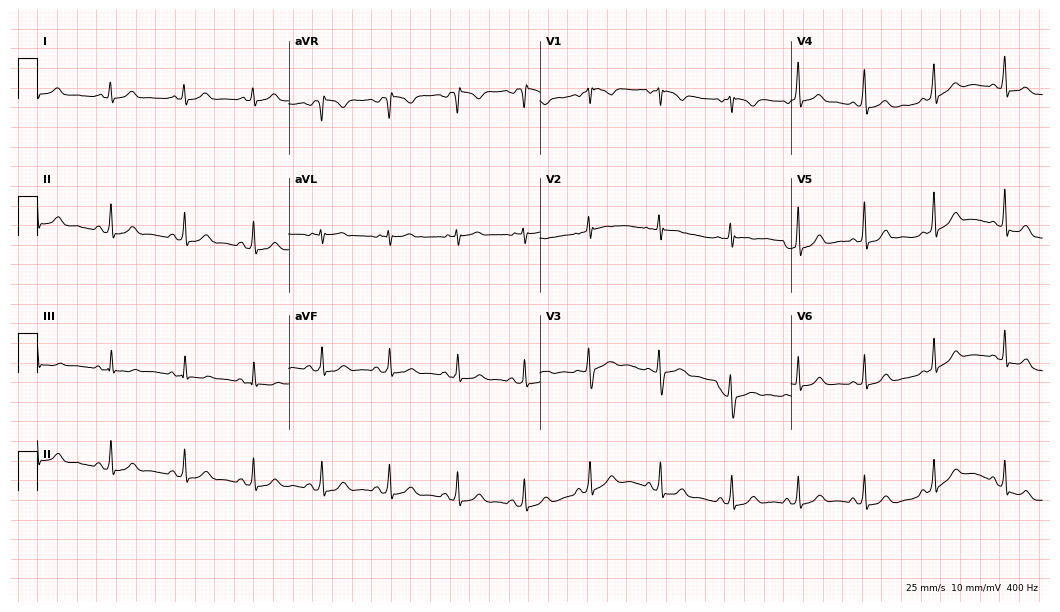
12-lead ECG from a woman, 24 years old. Recorded interpretation: within normal limits.